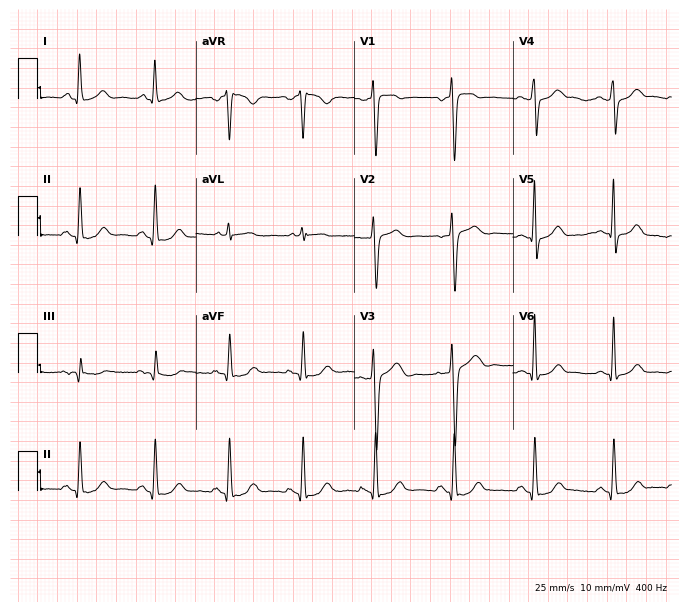
ECG (6.5-second recording at 400 Hz) — a 35-year-old woman. Screened for six findings — first-degree AV block, right bundle branch block (RBBB), left bundle branch block (LBBB), sinus bradycardia, atrial fibrillation (AF), sinus tachycardia — none is recorded. Only these six findings were labelled.